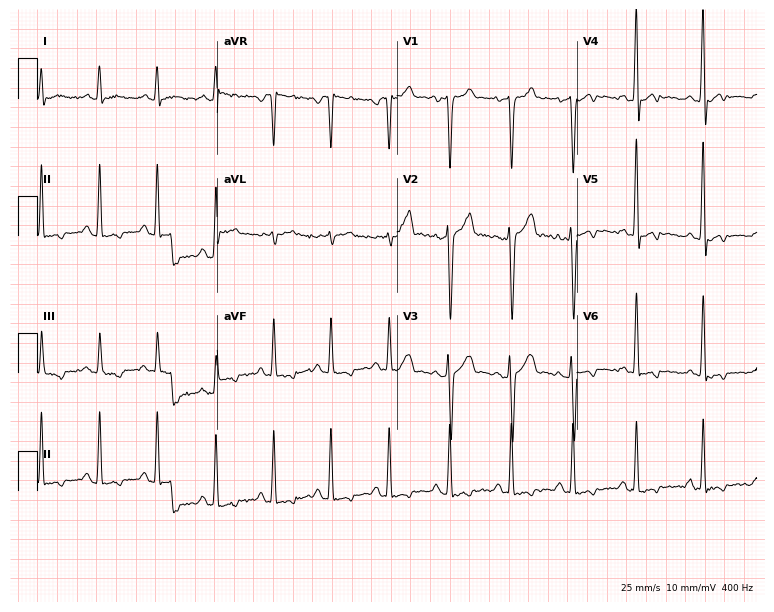
12-lead ECG from a 34-year-old male. No first-degree AV block, right bundle branch block, left bundle branch block, sinus bradycardia, atrial fibrillation or sinus tachycardia recorded for this tracing. Findings outside these six are not listed.